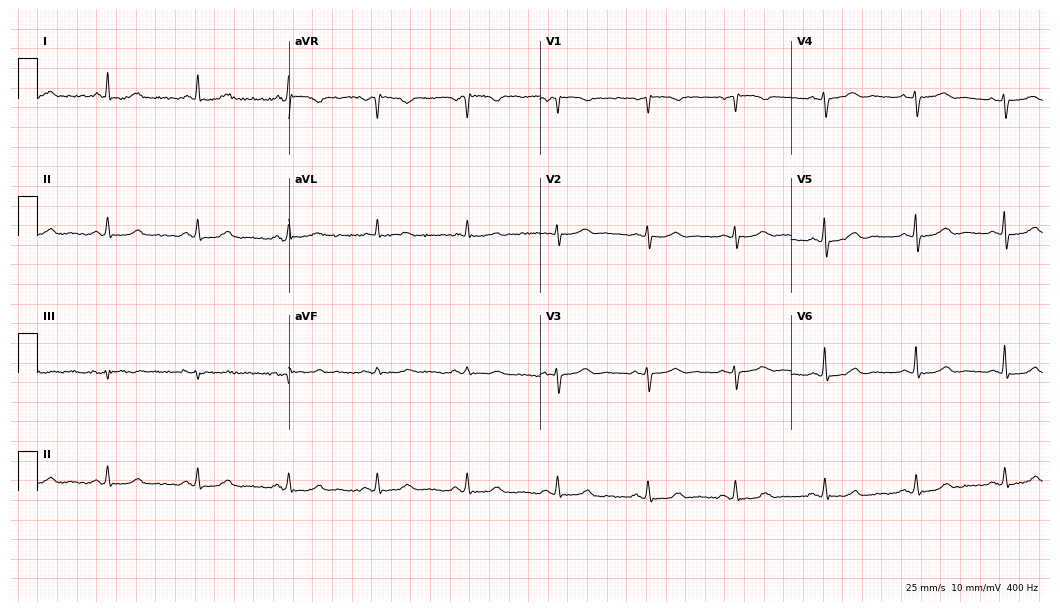
12-lead ECG from a 69-year-old woman. Recorded interpretation: within normal limits.